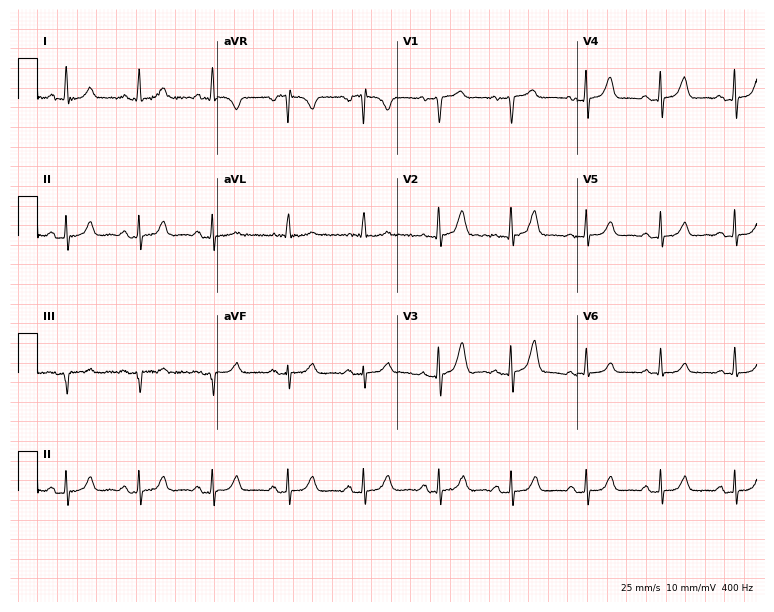
Electrocardiogram, a 71-year-old woman. Overall reading on record: normal ECG.